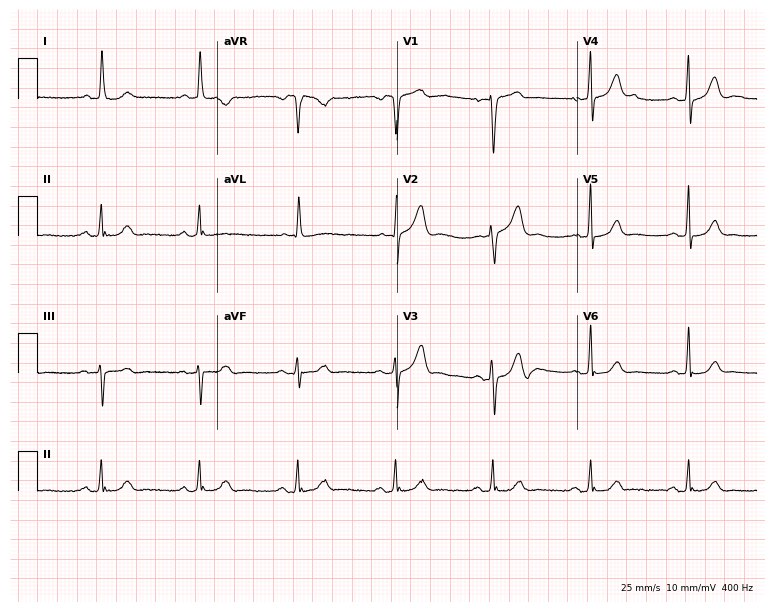
ECG — a man, 72 years old. Labelled as a normal ECG.